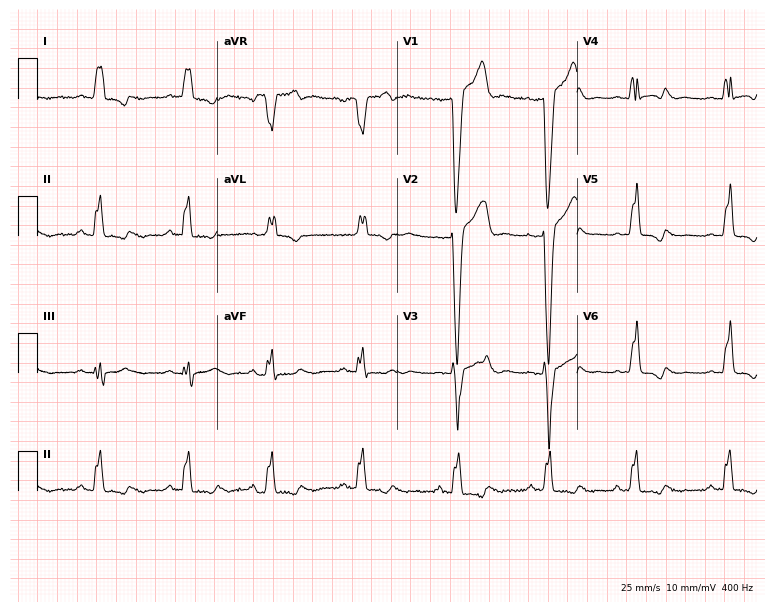
Electrocardiogram, a female, 33 years old. Of the six screened findings (first-degree AV block, right bundle branch block (RBBB), left bundle branch block (LBBB), sinus bradycardia, atrial fibrillation (AF), sinus tachycardia), none is recorded.